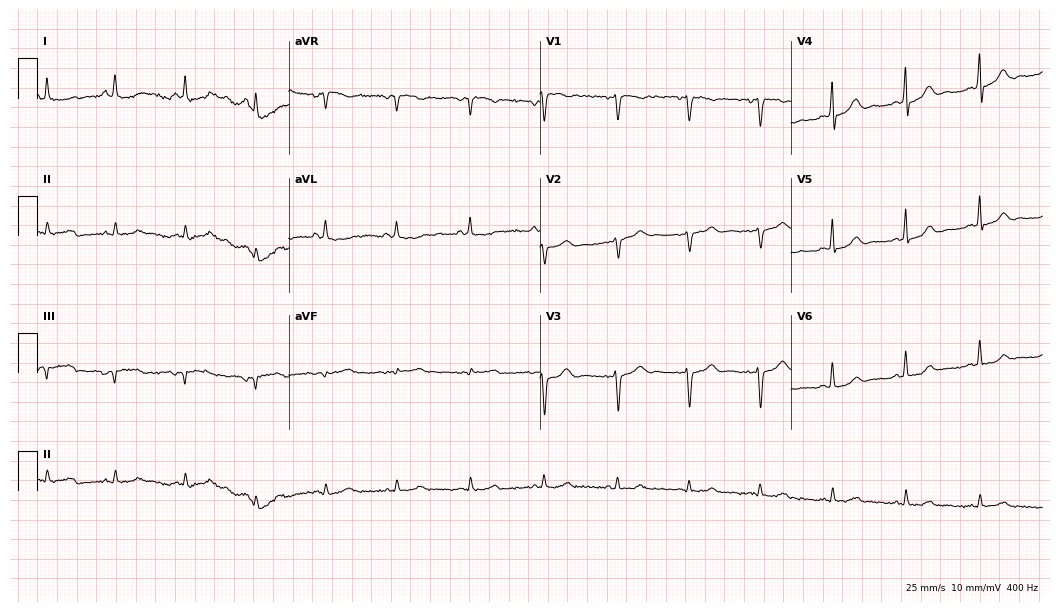
12-lead ECG from a female patient, 36 years old (10.2-second recording at 400 Hz). No first-degree AV block, right bundle branch block, left bundle branch block, sinus bradycardia, atrial fibrillation or sinus tachycardia recorded for this tracing.